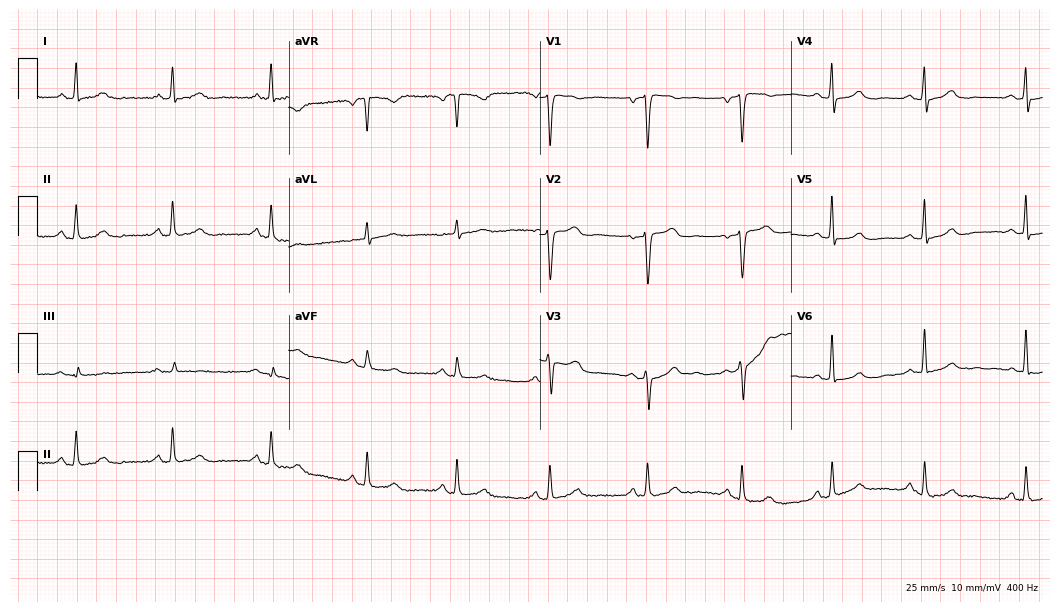
12-lead ECG from a 52-year-old female patient. Recorded interpretation: within normal limits.